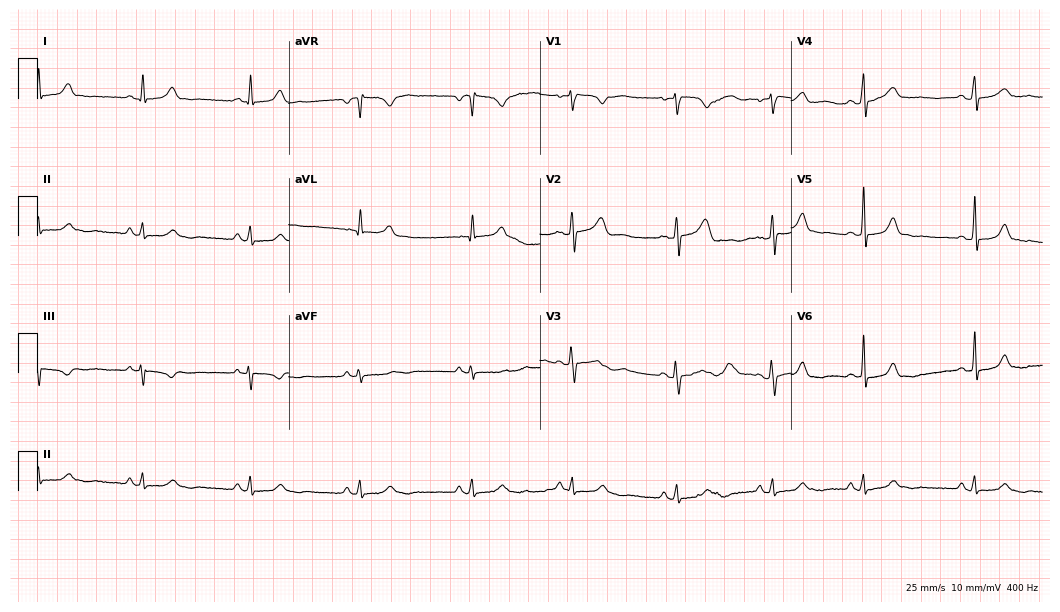
Standard 12-lead ECG recorded from a 26-year-old female (10.2-second recording at 400 Hz). None of these six findings is recorded: first-degree AV block, right bundle branch block, left bundle branch block, sinus bradycardia, atrial fibrillation, sinus tachycardia.